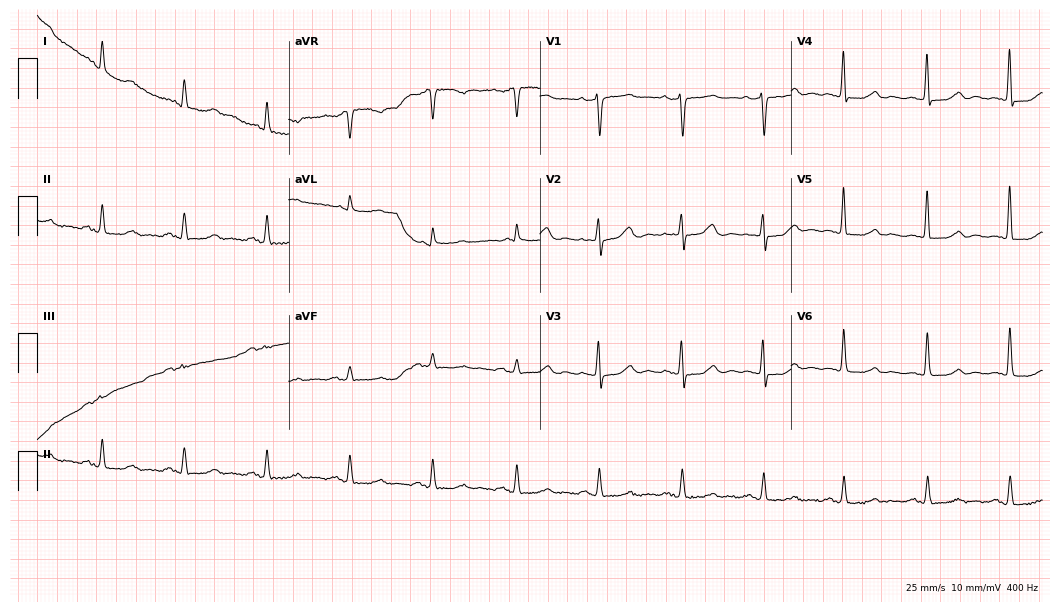
Resting 12-lead electrocardiogram (10.2-second recording at 400 Hz). Patient: a 79-year-old female. Read as a normal ECG.